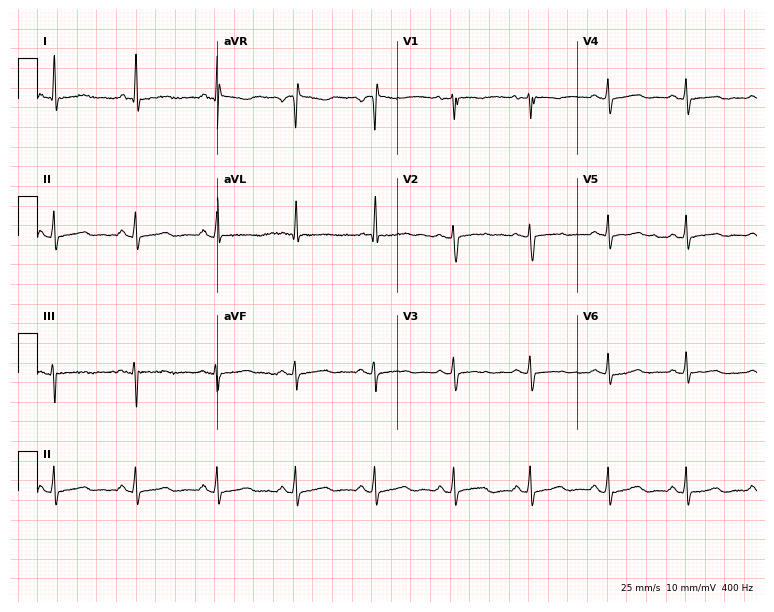
Electrocardiogram, a female, 61 years old. Of the six screened findings (first-degree AV block, right bundle branch block, left bundle branch block, sinus bradycardia, atrial fibrillation, sinus tachycardia), none is recorded. Findings outside these six are not listed.